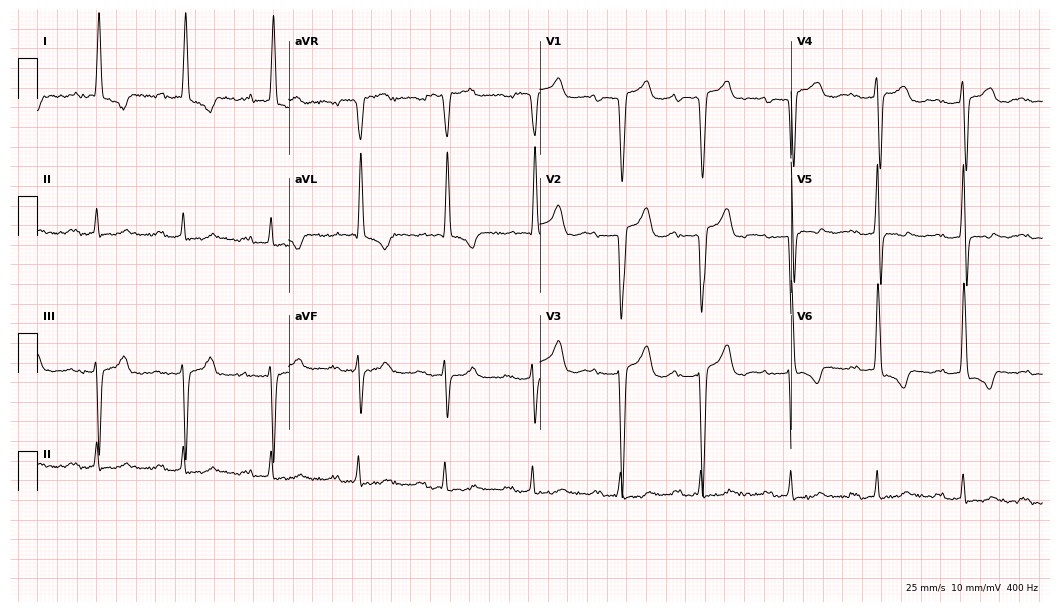
Standard 12-lead ECG recorded from a 60-year-old woman. None of these six findings is recorded: first-degree AV block, right bundle branch block, left bundle branch block, sinus bradycardia, atrial fibrillation, sinus tachycardia.